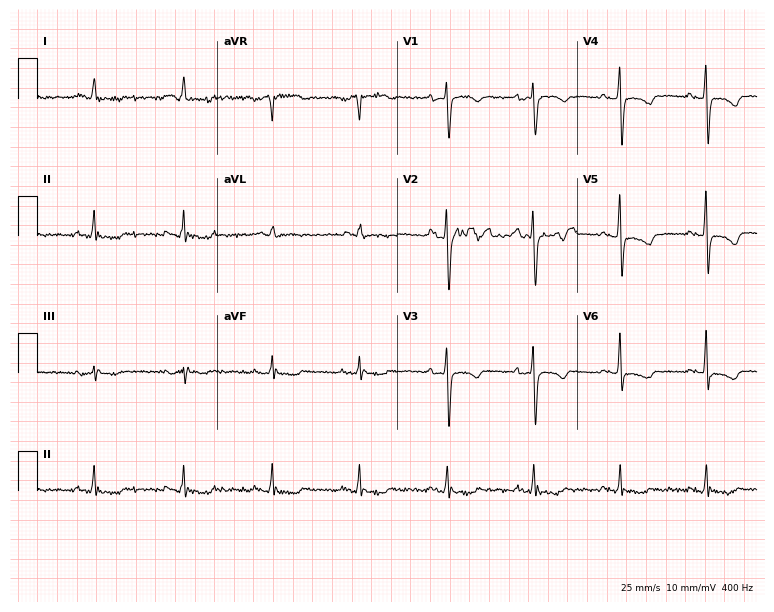
Standard 12-lead ECG recorded from a 67-year-old female patient. None of these six findings is recorded: first-degree AV block, right bundle branch block, left bundle branch block, sinus bradycardia, atrial fibrillation, sinus tachycardia.